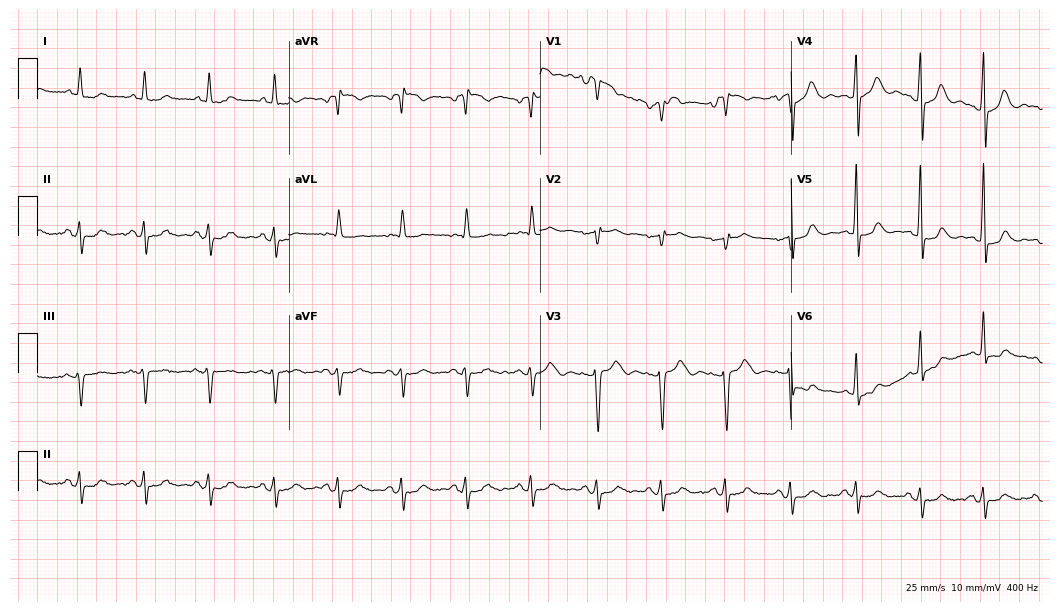
Resting 12-lead electrocardiogram. Patient: a 71-year-old woman. None of these six findings is recorded: first-degree AV block, right bundle branch block, left bundle branch block, sinus bradycardia, atrial fibrillation, sinus tachycardia. Only these six findings were labelled.